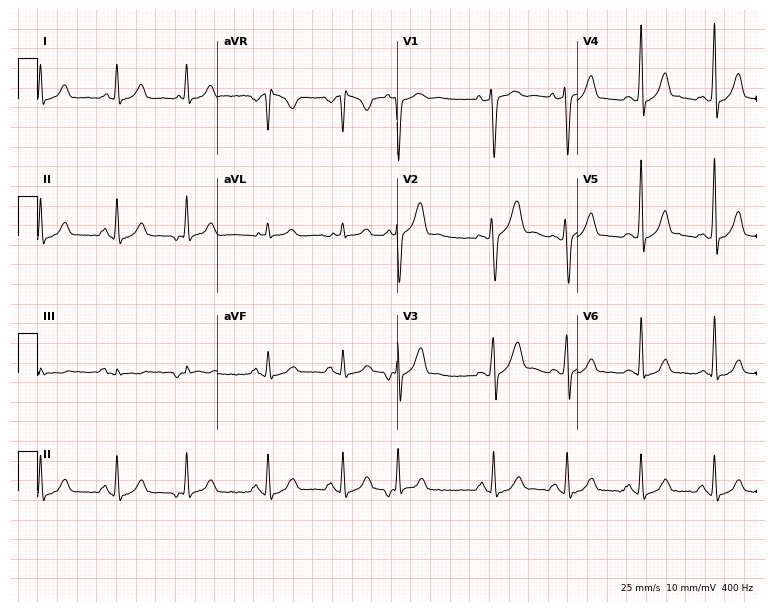
Electrocardiogram (7.3-second recording at 400 Hz), a 31-year-old male patient. Of the six screened findings (first-degree AV block, right bundle branch block, left bundle branch block, sinus bradycardia, atrial fibrillation, sinus tachycardia), none is recorded.